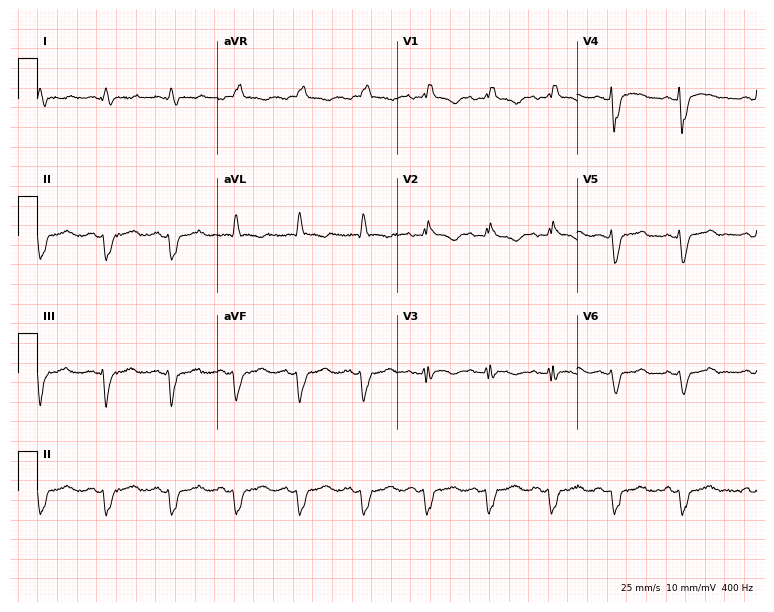
ECG (7.3-second recording at 400 Hz) — a female, 41 years old. Findings include right bundle branch block.